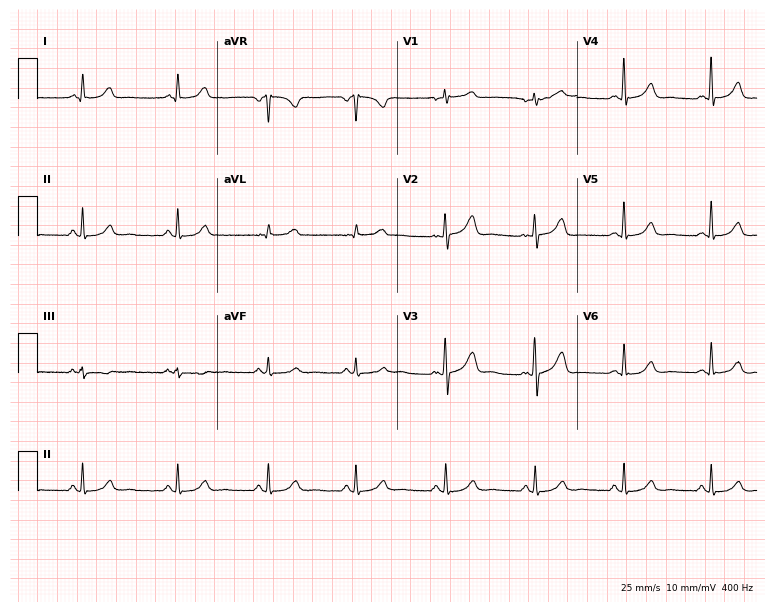
12-lead ECG (7.3-second recording at 400 Hz) from a woman, 46 years old. Labelled as a normal ECG.